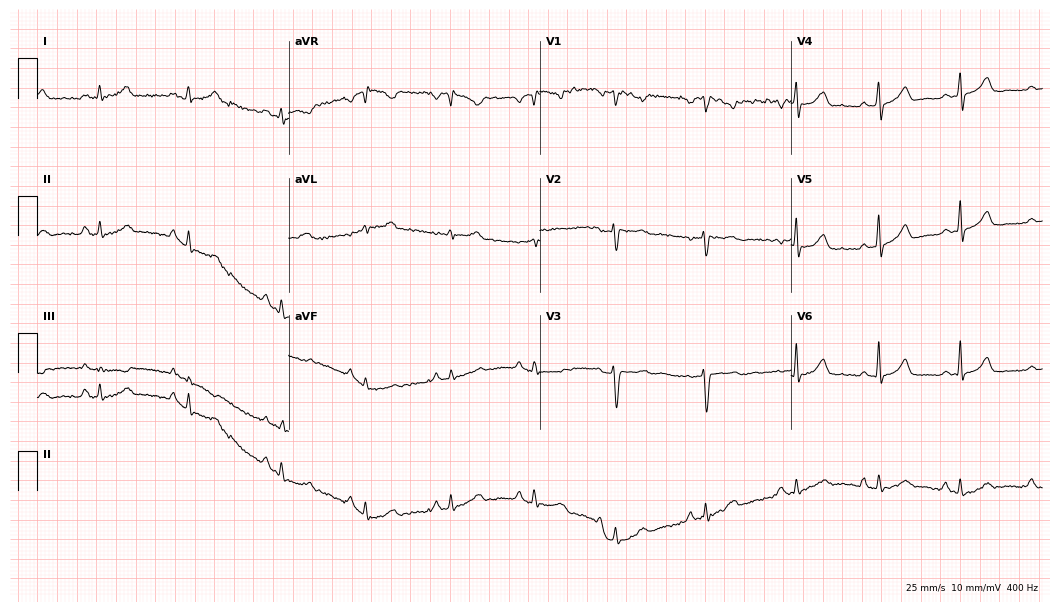
ECG — a female patient, 34 years old. Screened for six findings — first-degree AV block, right bundle branch block, left bundle branch block, sinus bradycardia, atrial fibrillation, sinus tachycardia — none is recorded. Only these six findings were labelled.